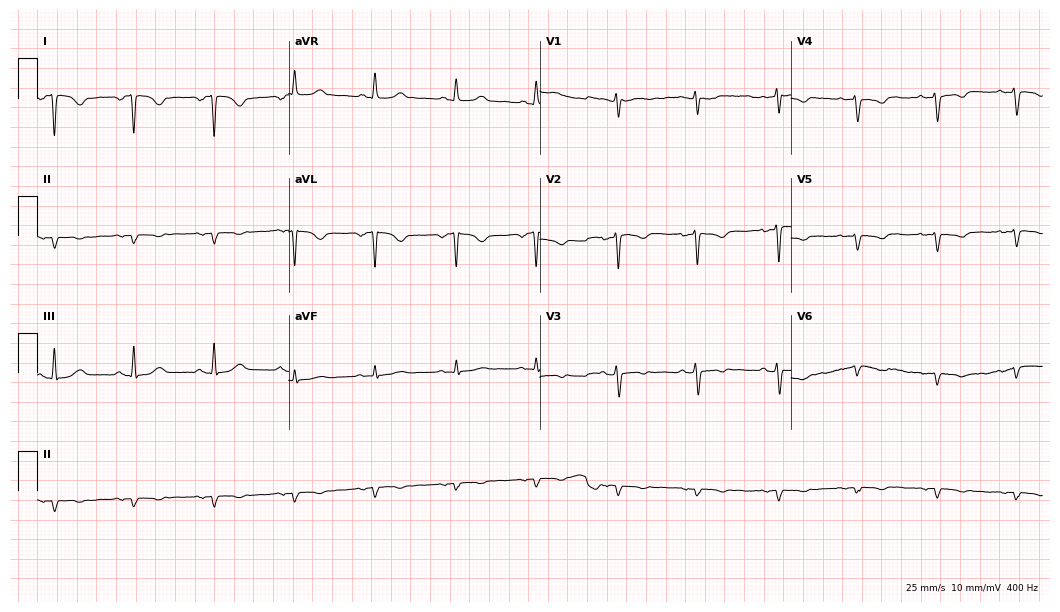
12-lead ECG (10.2-second recording at 400 Hz) from a 42-year-old female. Screened for six findings — first-degree AV block, right bundle branch block, left bundle branch block, sinus bradycardia, atrial fibrillation, sinus tachycardia — none is recorded.